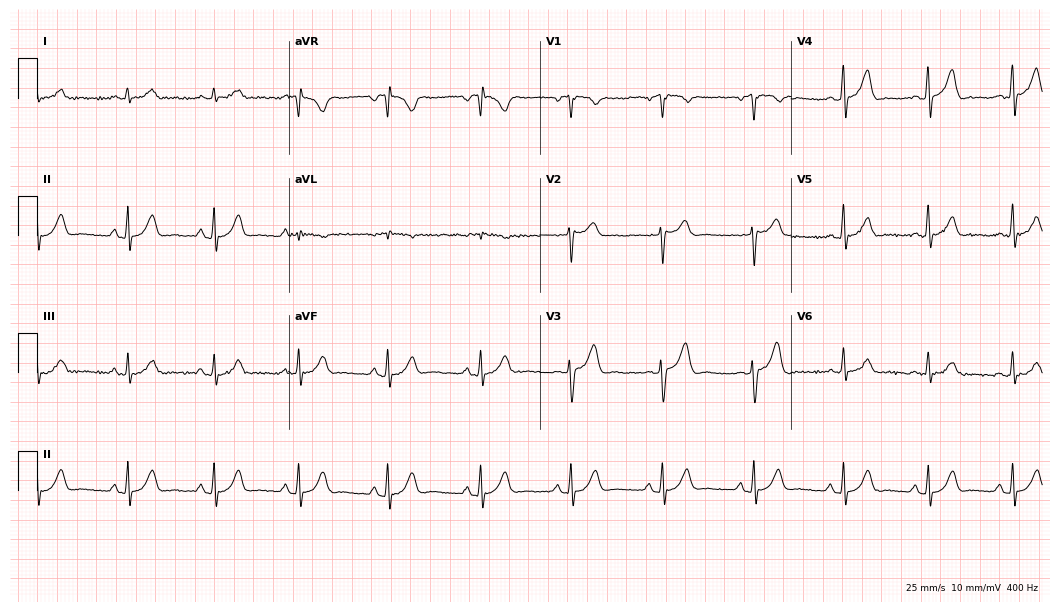
12-lead ECG (10.2-second recording at 400 Hz) from a 49-year-old man. Labelled as a normal ECG.